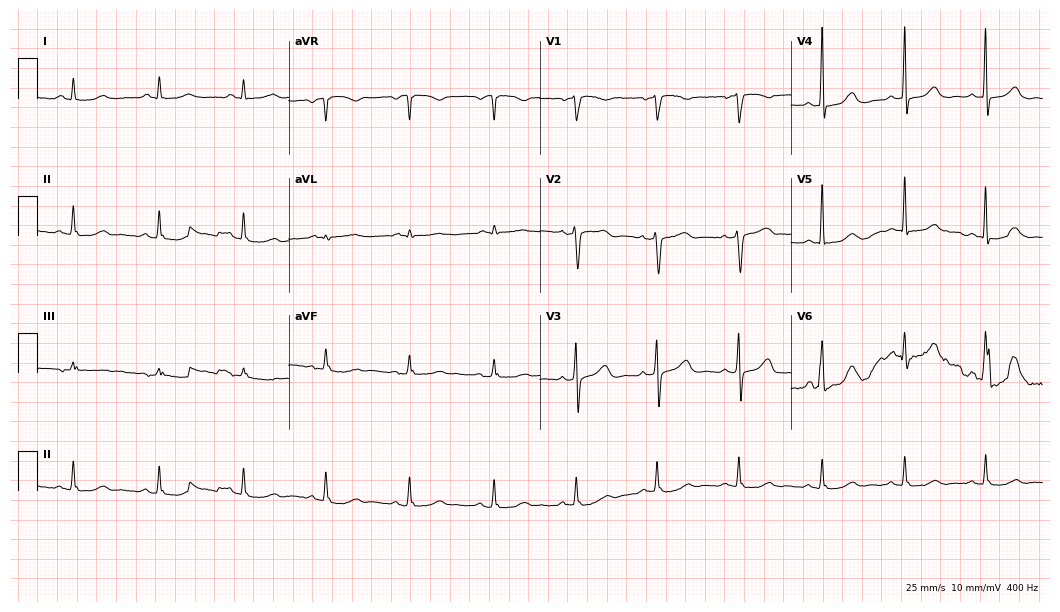
12-lead ECG from a female patient, 69 years old. Labelled as a normal ECG.